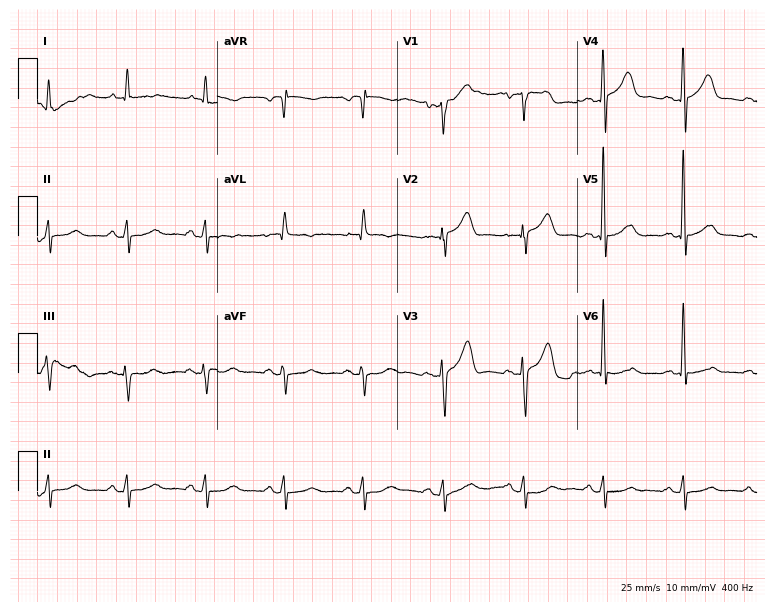
ECG (7.3-second recording at 400 Hz) — a female, 80 years old. Screened for six findings — first-degree AV block, right bundle branch block (RBBB), left bundle branch block (LBBB), sinus bradycardia, atrial fibrillation (AF), sinus tachycardia — none is recorded.